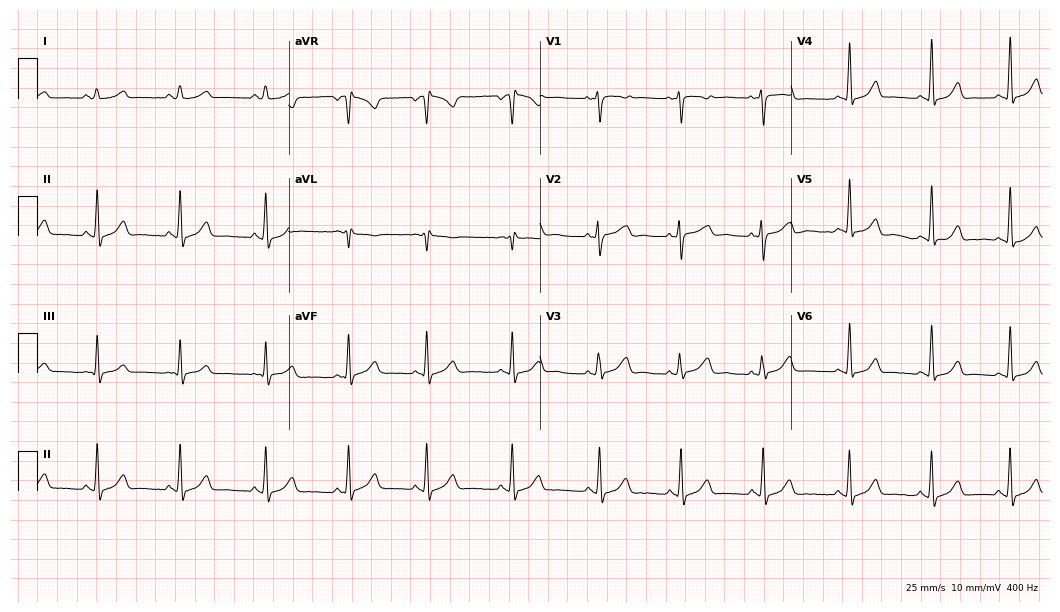
12-lead ECG from a woman, 33 years old. Labelled as a normal ECG.